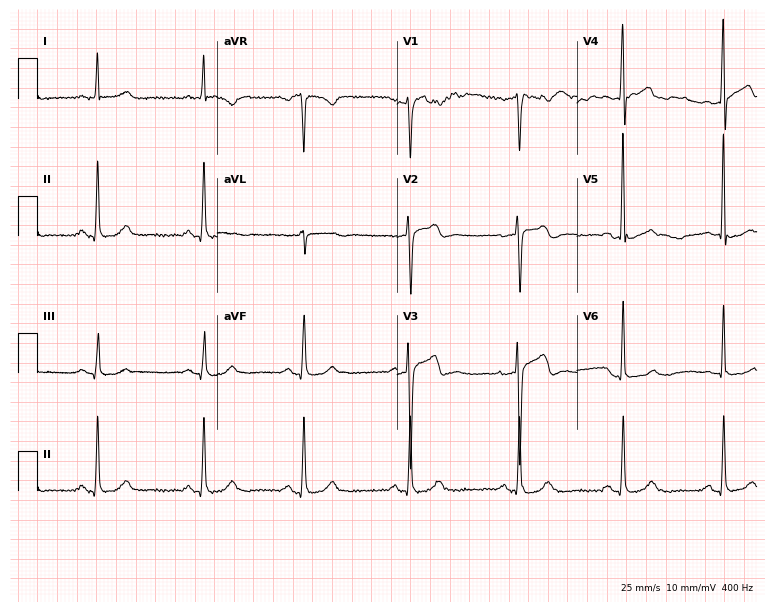
Electrocardiogram (7.3-second recording at 400 Hz), a 37-year-old male patient. Overall reading on record: normal ECG.